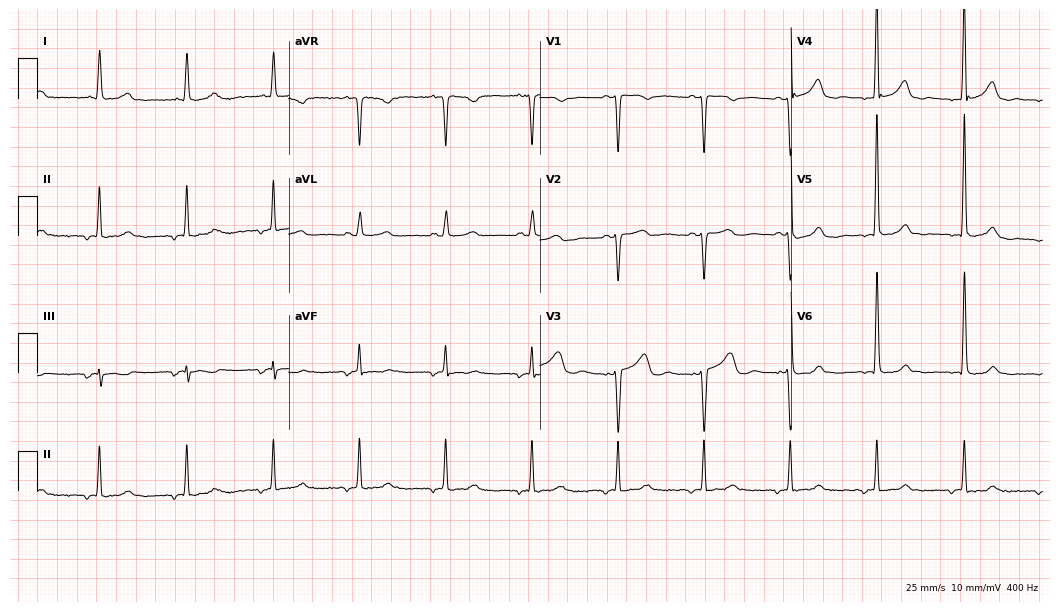
ECG (10.2-second recording at 400 Hz) — a 45-year-old female. Screened for six findings — first-degree AV block, right bundle branch block (RBBB), left bundle branch block (LBBB), sinus bradycardia, atrial fibrillation (AF), sinus tachycardia — none is recorded. Only these six findings were labelled.